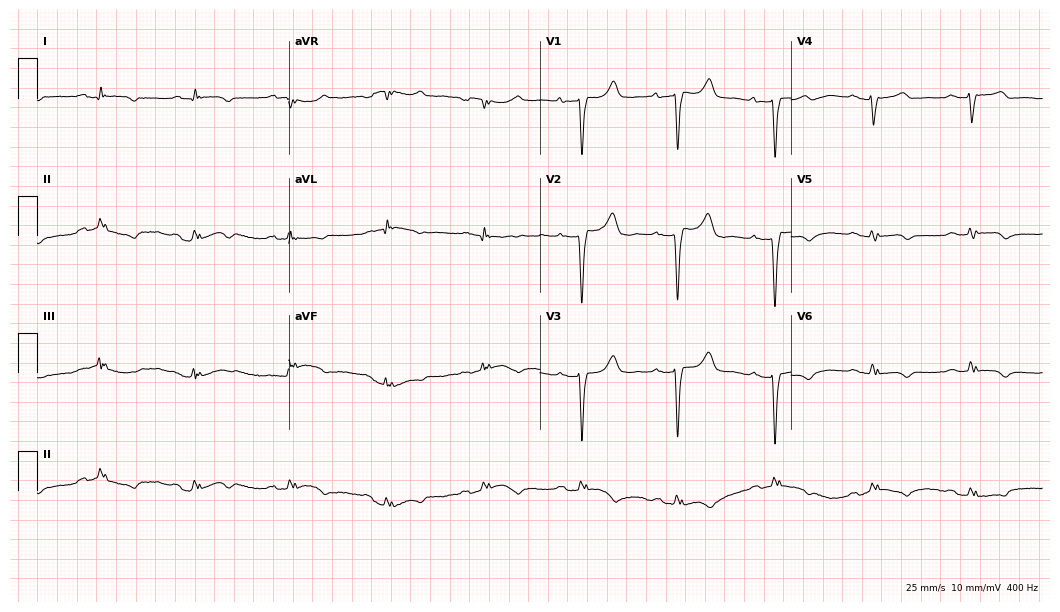
Resting 12-lead electrocardiogram. Patient: a female, 53 years old. None of these six findings is recorded: first-degree AV block, right bundle branch block, left bundle branch block, sinus bradycardia, atrial fibrillation, sinus tachycardia.